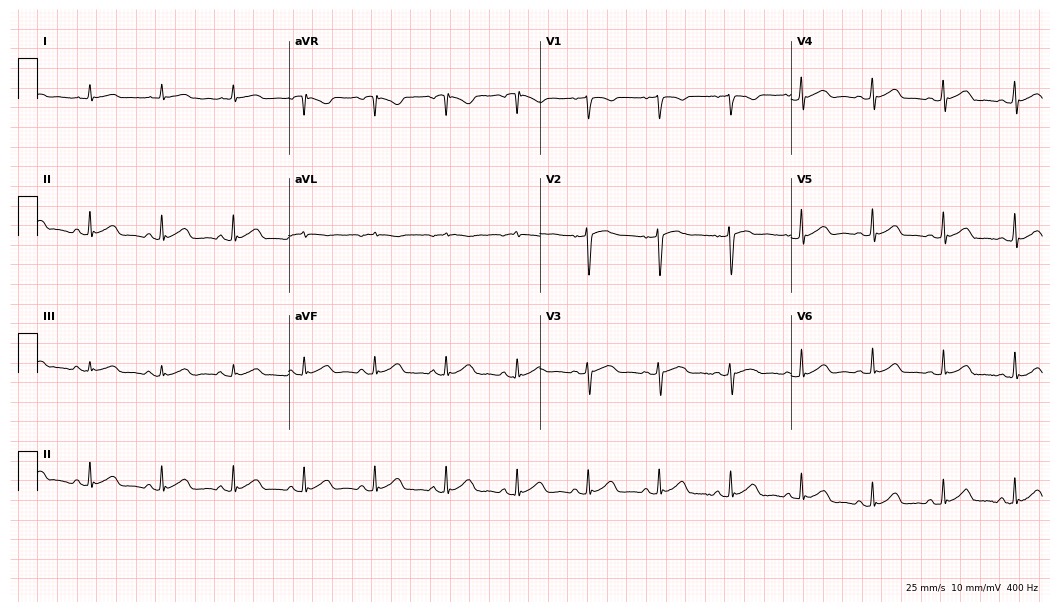
Electrocardiogram (10.2-second recording at 400 Hz), a female, 49 years old. Overall reading on record: normal ECG.